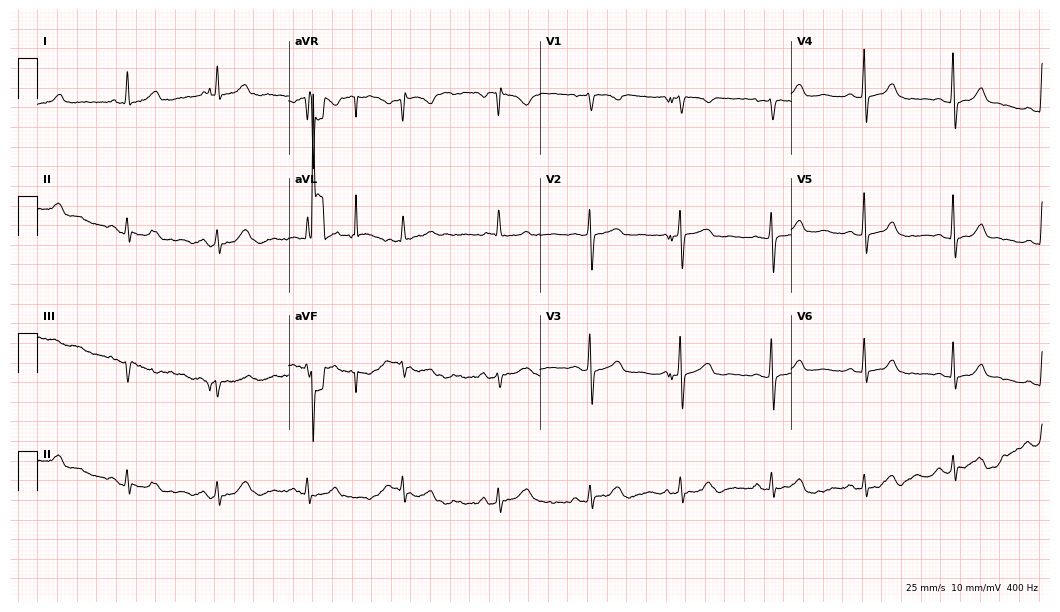
12-lead ECG from a female, 65 years old (10.2-second recording at 400 Hz). Recorded interpretation: within normal limits.